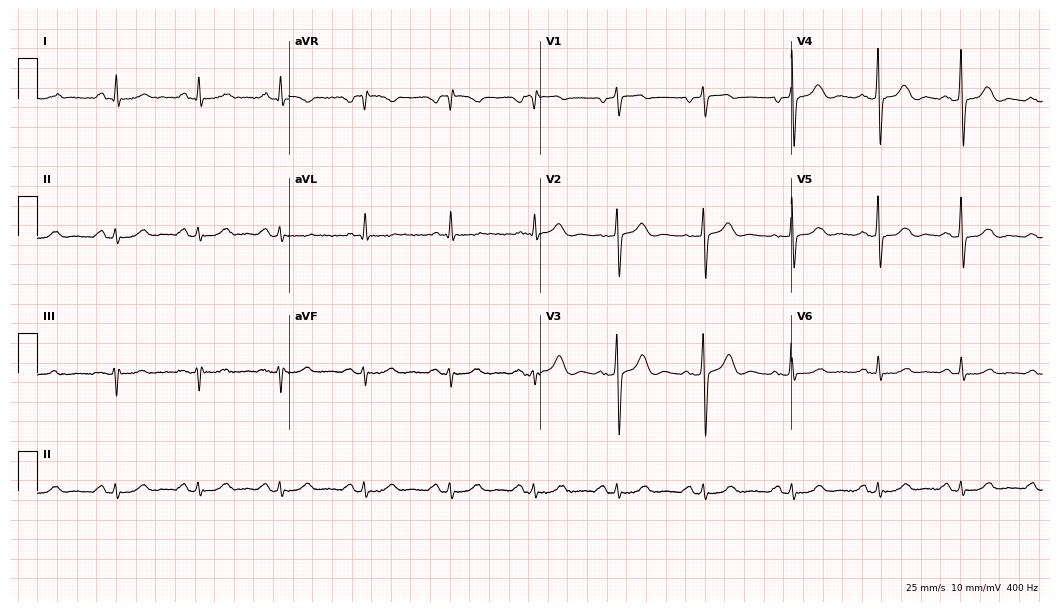
Electrocardiogram (10.2-second recording at 400 Hz), a woman, 53 years old. Of the six screened findings (first-degree AV block, right bundle branch block (RBBB), left bundle branch block (LBBB), sinus bradycardia, atrial fibrillation (AF), sinus tachycardia), none is recorded.